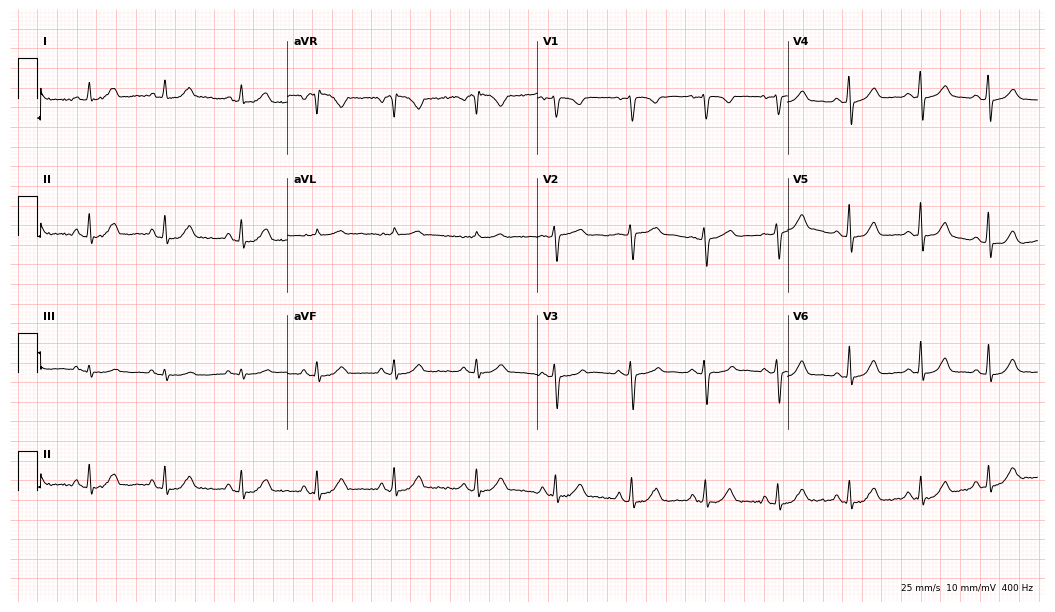
12-lead ECG from a female patient, 39 years old (10.2-second recording at 400 Hz). Recorded interpretation: within normal limits.